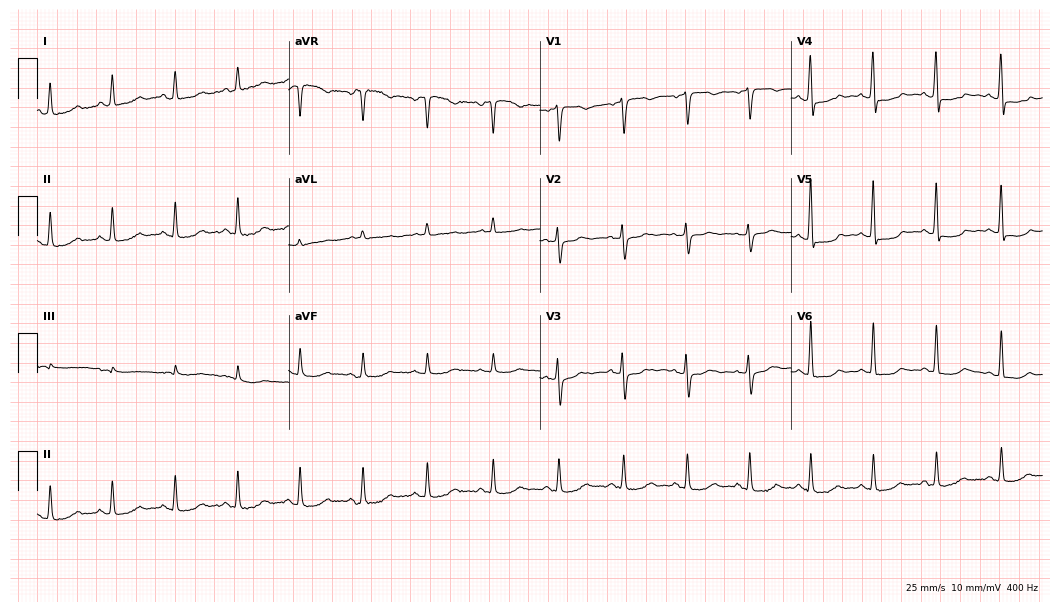
12-lead ECG (10.2-second recording at 400 Hz) from a 47-year-old female patient. Screened for six findings — first-degree AV block, right bundle branch block, left bundle branch block, sinus bradycardia, atrial fibrillation, sinus tachycardia — none is recorded.